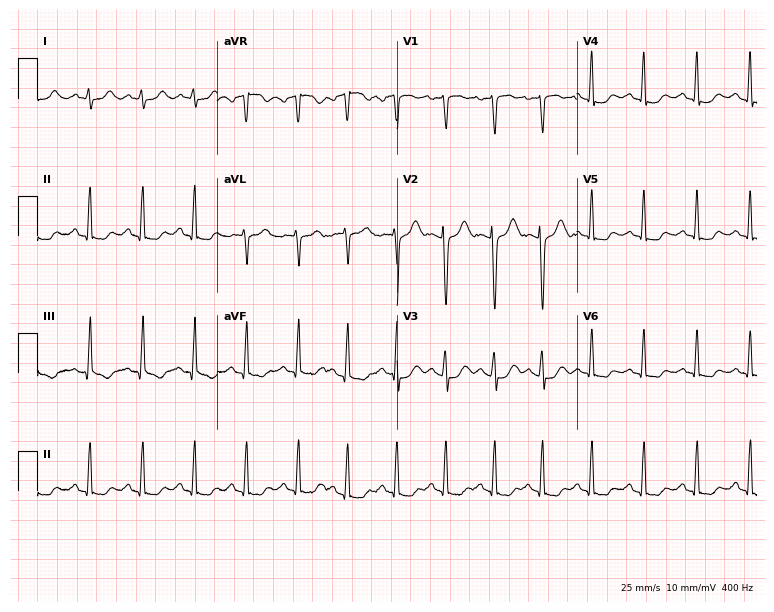
12-lead ECG (7.3-second recording at 400 Hz) from a 35-year-old female patient. Findings include sinus tachycardia (a sinus rate of 100 beats per minute or more).